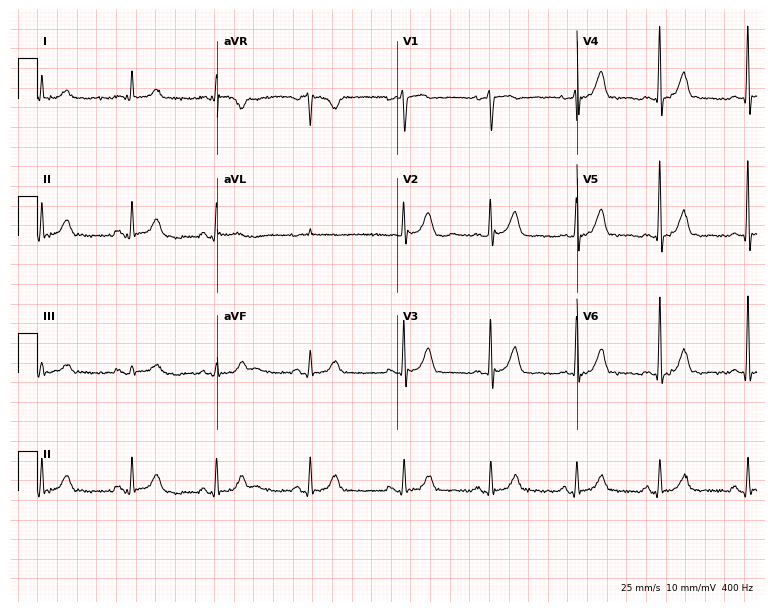
12-lead ECG from a male patient, 80 years old (7.3-second recording at 400 Hz). No first-degree AV block, right bundle branch block, left bundle branch block, sinus bradycardia, atrial fibrillation or sinus tachycardia recorded for this tracing.